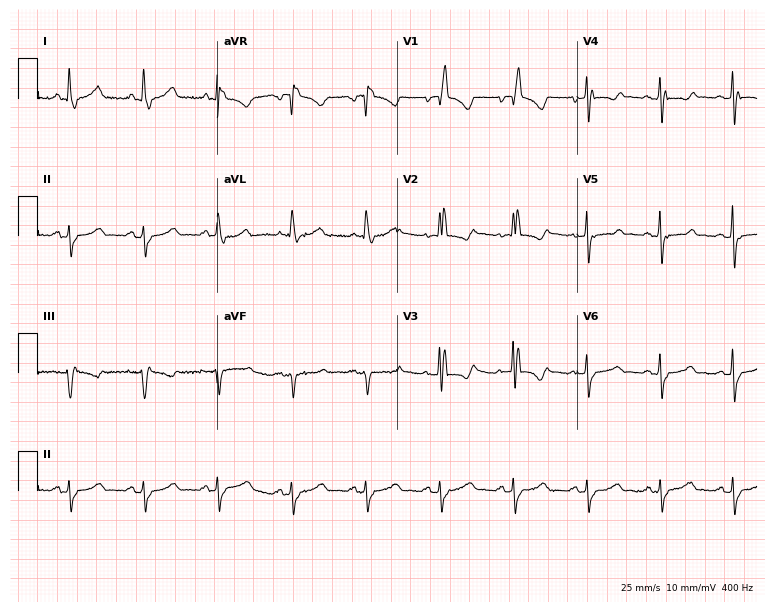
Resting 12-lead electrocardiogram. Patient: an 85-year-old female. The tracing shows right bundle branch block.